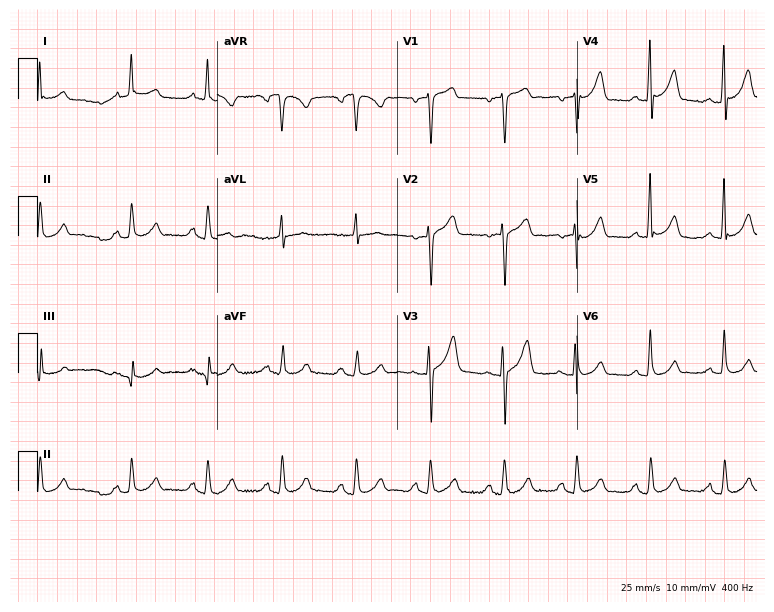
12-lead ECG (7.3-second recording at 400 Hz) from a male, 66 years old. Labelled as a normal ECG.